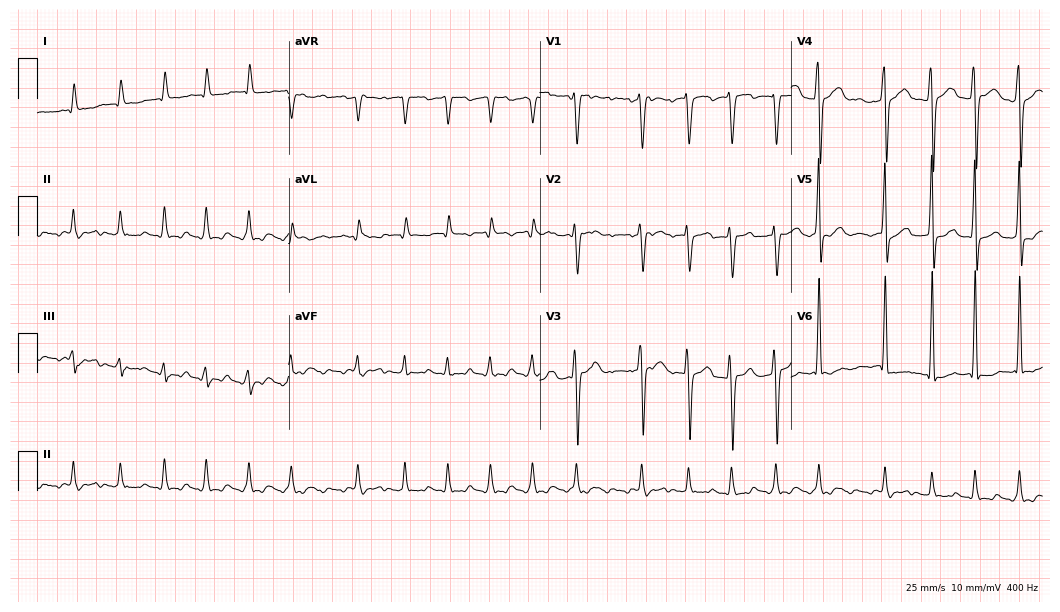
Electrocardiogram, a male patient, 85 years old. Interpretation includes atrial fibrillation (AF).